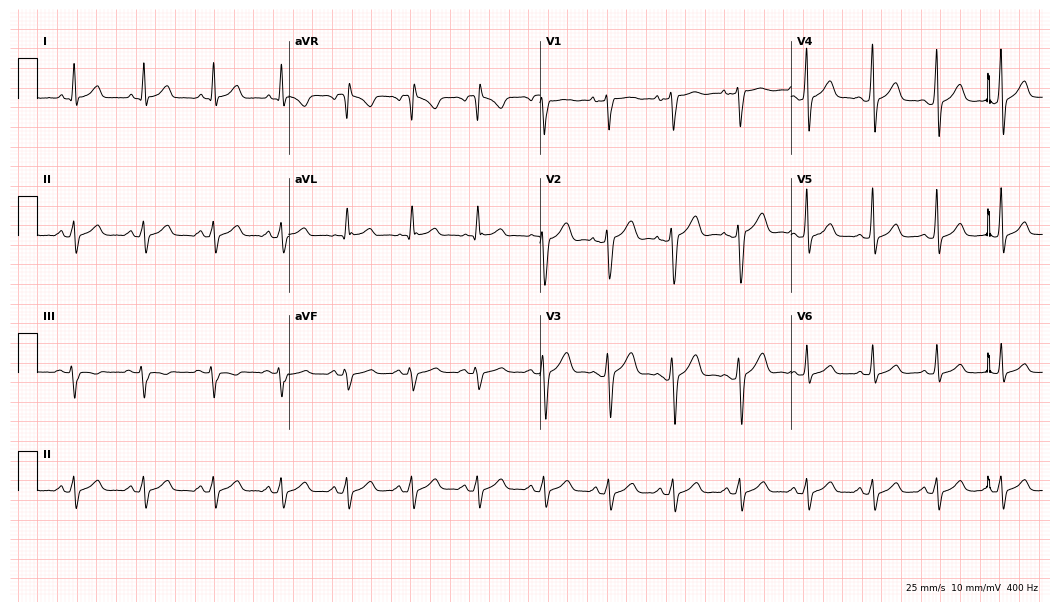
12-lead ECG from a 25-year-old male. Labelled as a normal ECG.